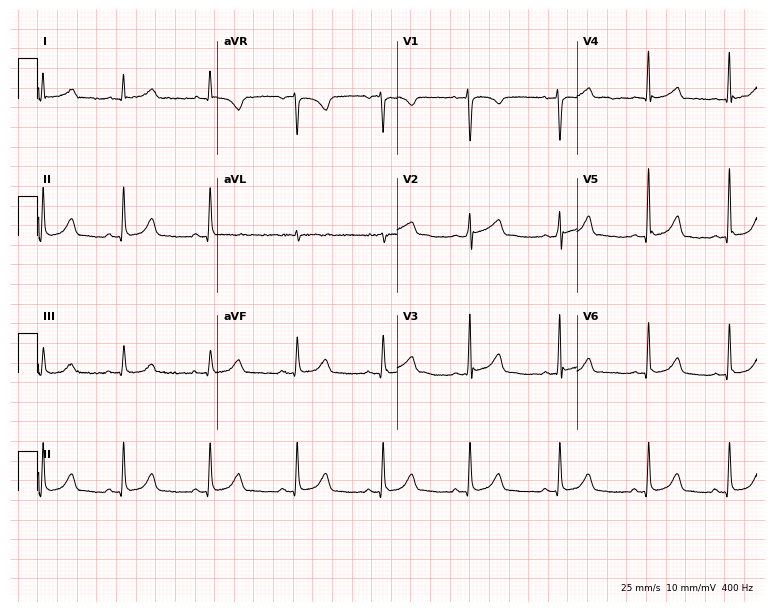
ECG — a female patient, 43 years old. Labelled as a normal ECG.